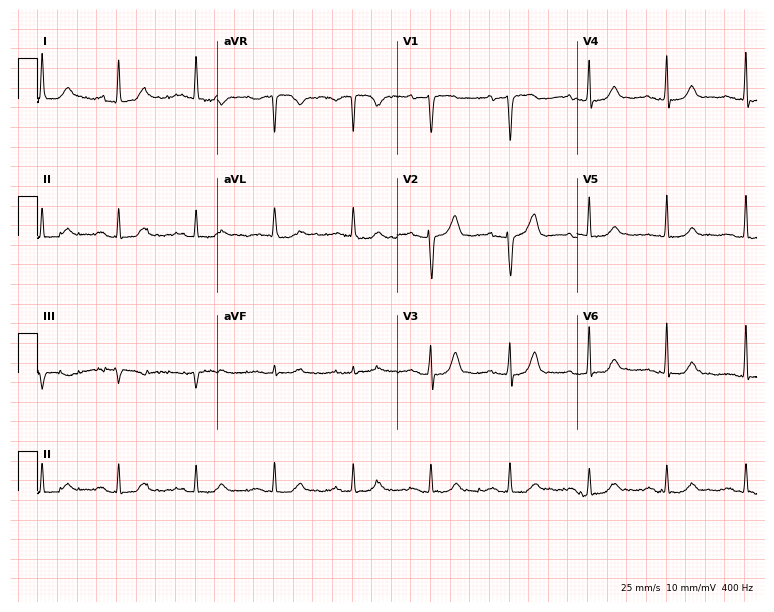
Electrocardiogram (7.3-second recording at 400 Hz), a female, 84 years old. Overall reading on record: normal ECG.